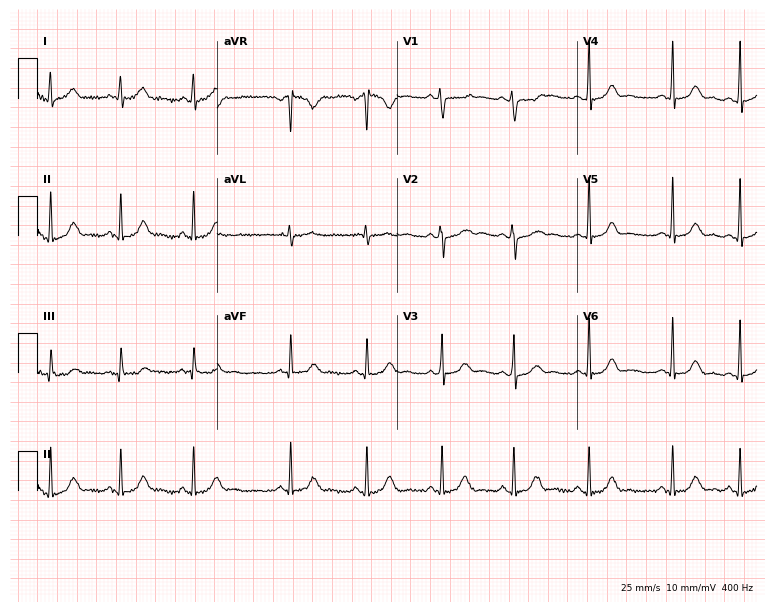
Electrocardiogram (7.3-second recording at 400 Hz), a 26-year-old female patient. Of the six screened findings (first-degree AV block, right bundle branch block, left bundle branch block, sinus bradycardia, atrial fibrillation, sinus tachycardia), none is recorded.